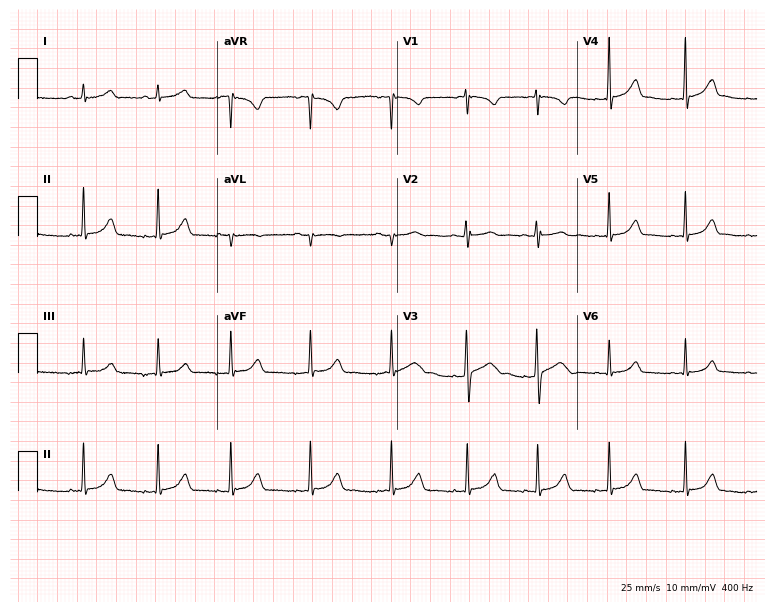
12-lead ECG from a female, 21 years old (7.3-second recording at 400 Hz). No first-degree AV block, right bundle branch block, left bundle branch block, sinus bradycardia, atrial fibrillation or sinus tachycardia recorded for this tracing. Other findings, if any, are not listed.